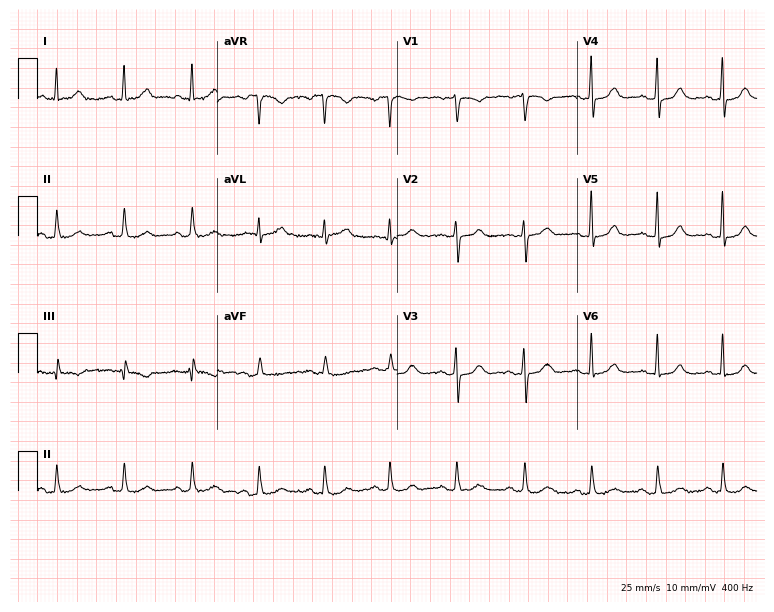
ECG (7.3-second recording at 400 Hz) — a 51-year-old female patient. Labelled as a normal ECG.